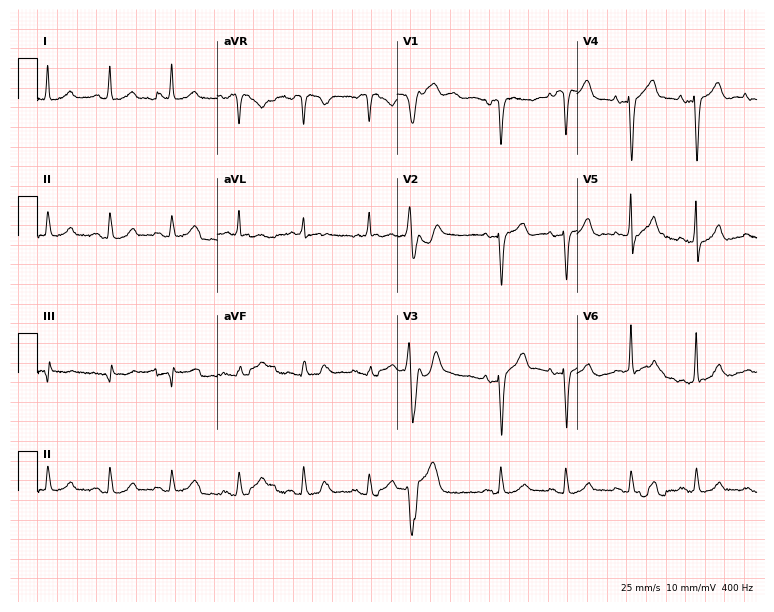
Resting 12-lead electrocardiogram (7.3-second recording at 400 Hz). Patient: an 82-year-old female. Read as a normal ECG.